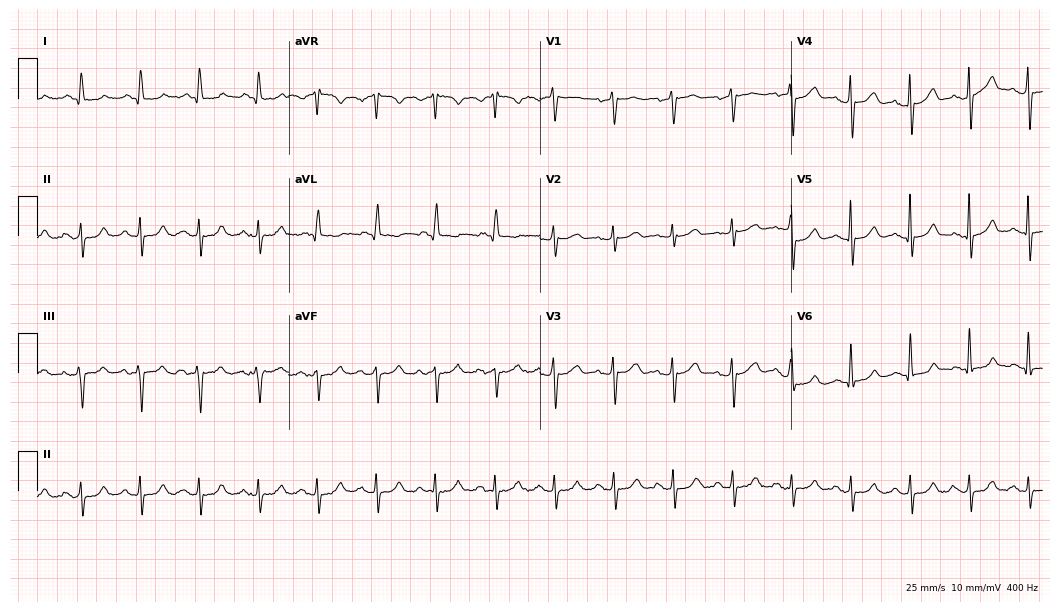
Standard 12-lead ECG recorded from a male, 70 years old (10.2-second recording at 400 Hz). None of these six findings is recorded: first-degree AV block, right bundle branch block (RBBB), left bundle branch block (LBBB), sinus bradycardia, atrial fibrillation (AF), sinus tachycardia.